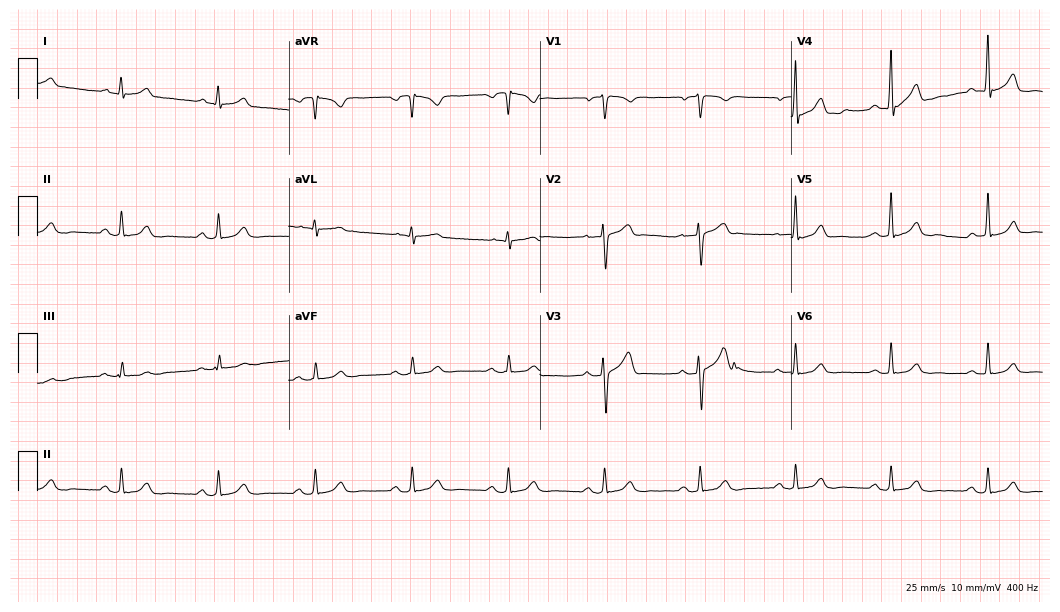
Standard 12-lead ECG recorded from a 62-year-old male patient (10.2-second recording at 400 Hz). Read as a normal ECG.